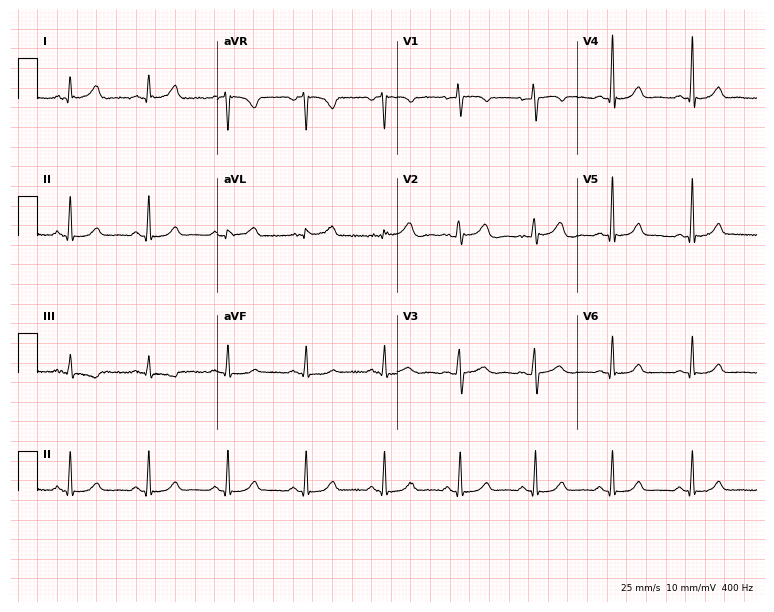
Electrocardiogram, a 47-year-old female patient. Of the six screened findings (first-degree AV block, right bundle branch block, left bundle branch block, sinus bradycardia, atrial fibrillation, sinus tachycardia), none is recorded.